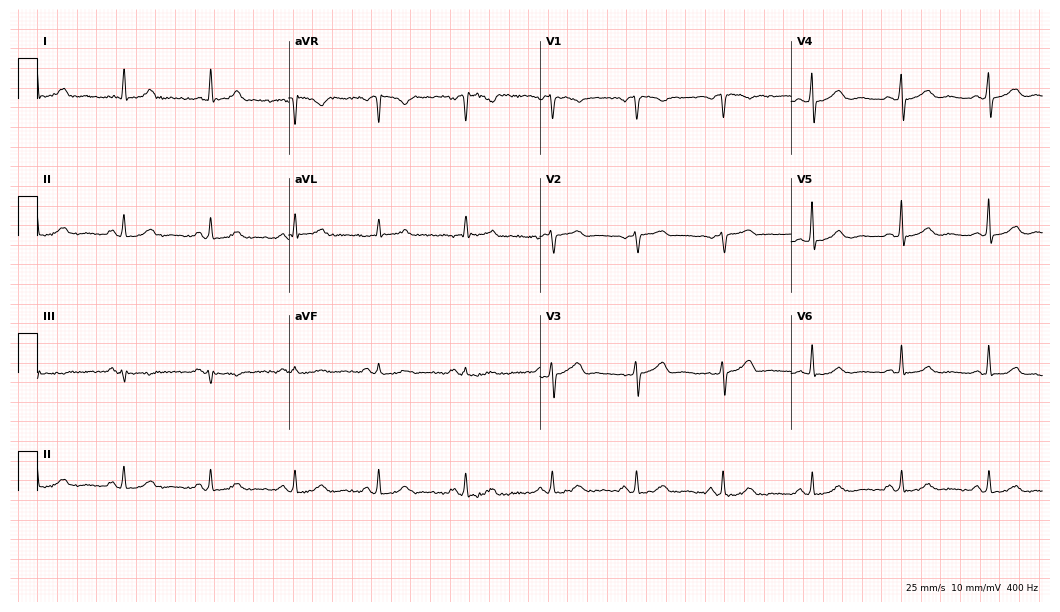
Standard 12-lead ECG recorded from a 62-year-old female patient. Read as a normal ECG.